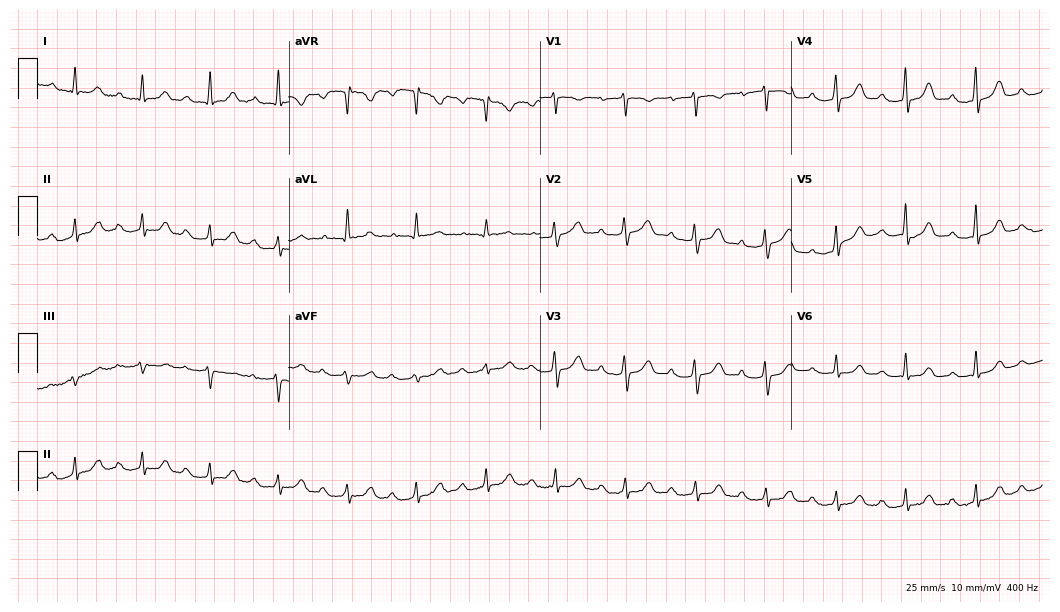
ECG — a 77-year-old female. Findings include first-degree AV block.